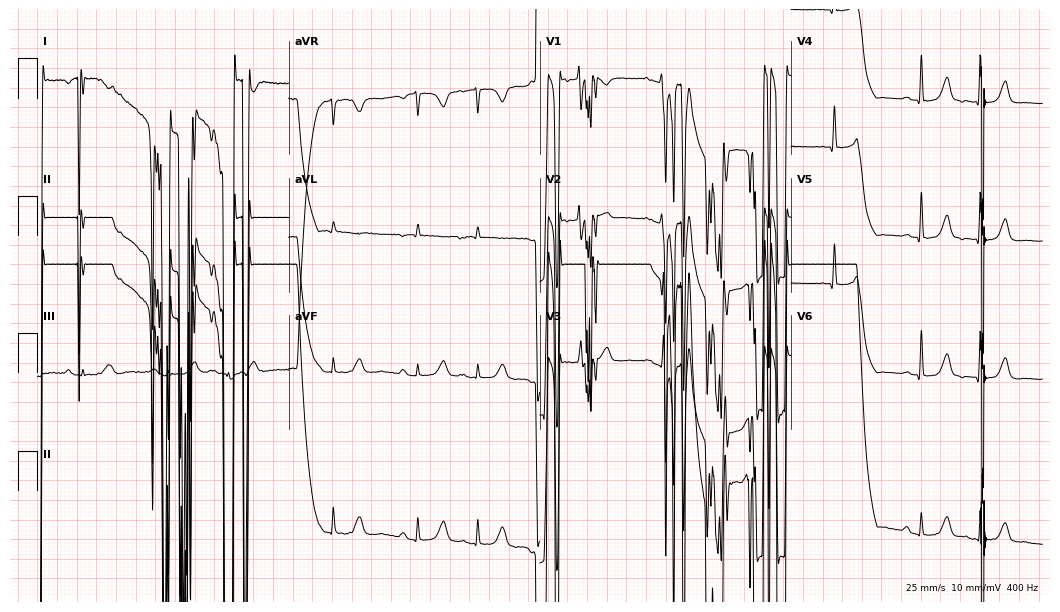
ECG — a female, 72 years old. Screened for six findings — first-degree AV block, right bundle branch block (RBBB), left bundle branch block (LBBB), sinus bradycardia, atrial fibrillation (AF), sinus tachycardia — none is recorded.